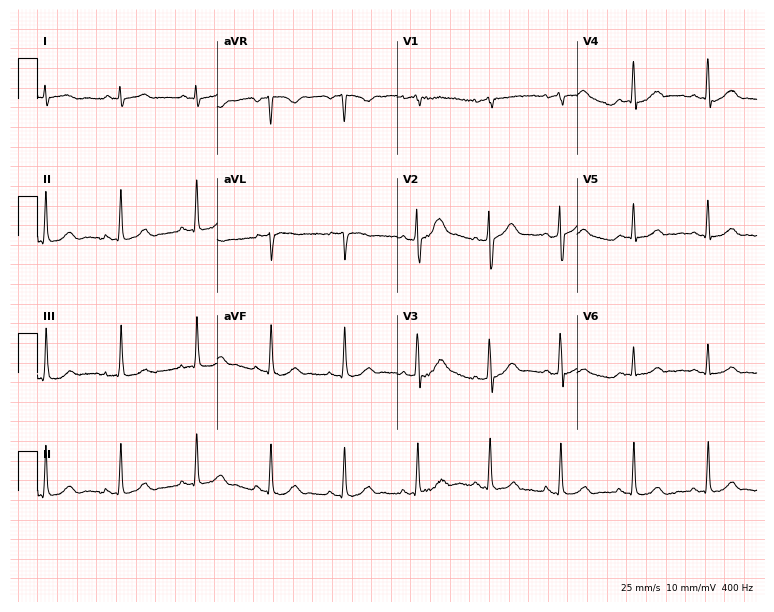
ECG — a male patient, 47 years old. Screened for six findings — first-degree AV block, right bundle branch block (RBBB), left bundle branch block (LBBB), sinus bradycardia, atrial fibrillation (AF), sinus tachycardia — none is recorded.